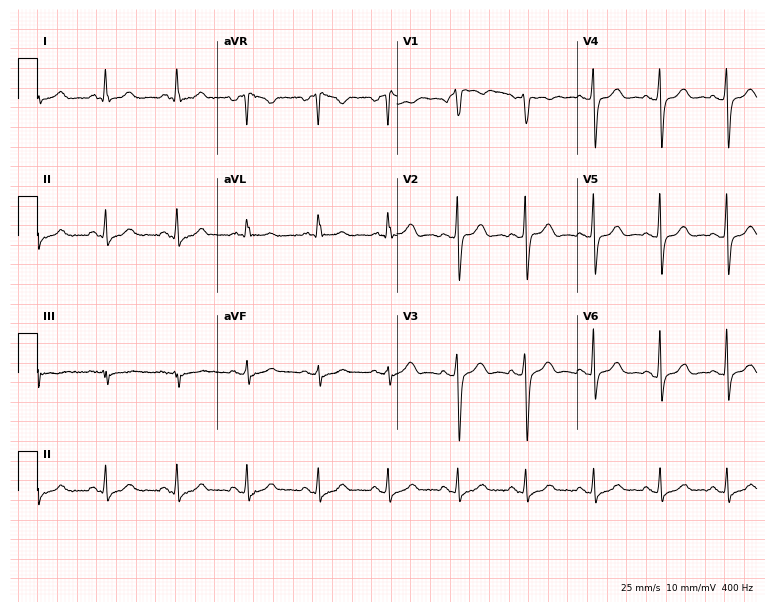
12-lead ECG from a female patient, 45 years old (7.3-second recording at 400 Hz). No first-degree AV block, right bundle branch block, left bundle branch block, sinus bradycardia, atrial fibrillation or sinus tachycardia recorded for this tracing.